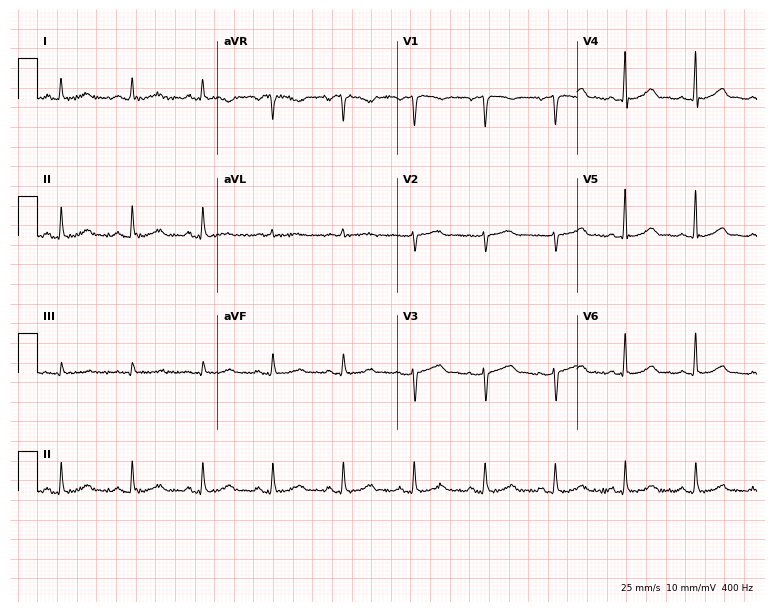
ECG (7.3-second recording at 400 Hz) — a 45-year-old female. Labelled as a normal ECG.